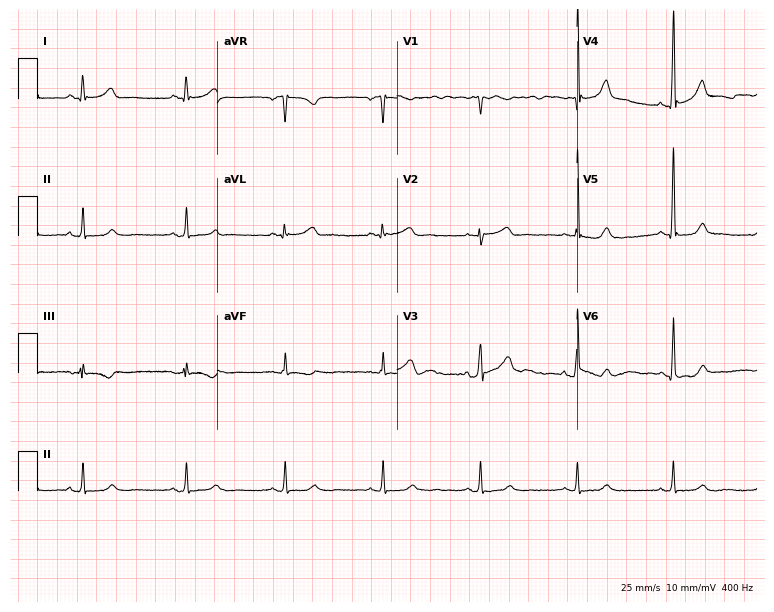
Standard 12-lead ECG recorded from a male patient, 51 years old. None of these six findings is recorded: first-degree AV block, right bundle branch block, left bundle branch block, sinus bradycardia, atrial fibrillation, sinus tachycardia.